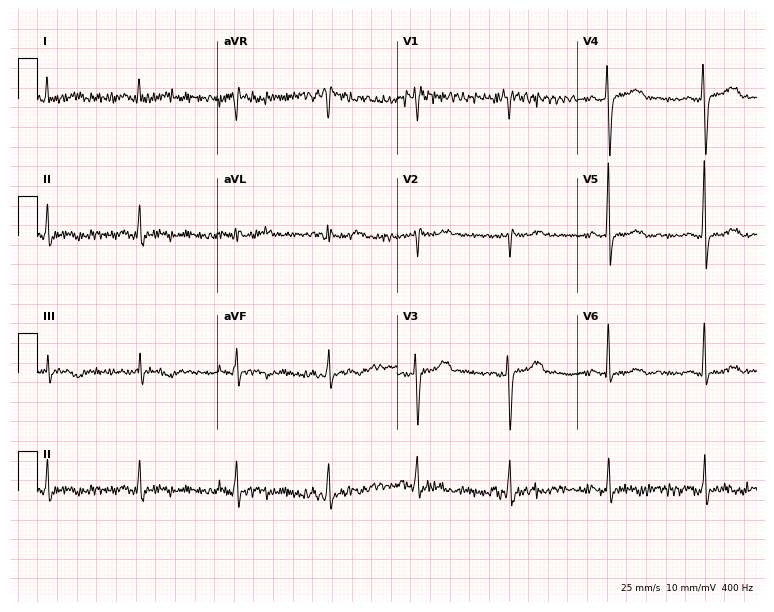
Resting 12-lead electrocardiogram. Patient: a 34-year-old woman. None of these six findings is recorded: first-degree AV block, right bundle branch block, left bundle branch block, sinus bradycardia, atrial fibrillation, sinus tachycardia.